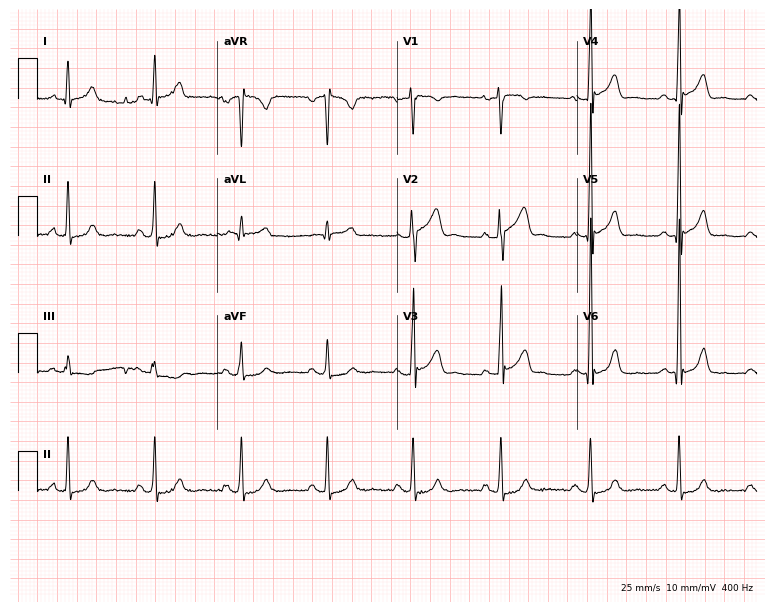
12-lead ECG from a 48-year-old male patient. Screened for six findings — first-degree AV block, right bundle branch block, left bundle branch block, sinus bradycardia, atrial fibrillation, sinus tachycardia — none is recorded.